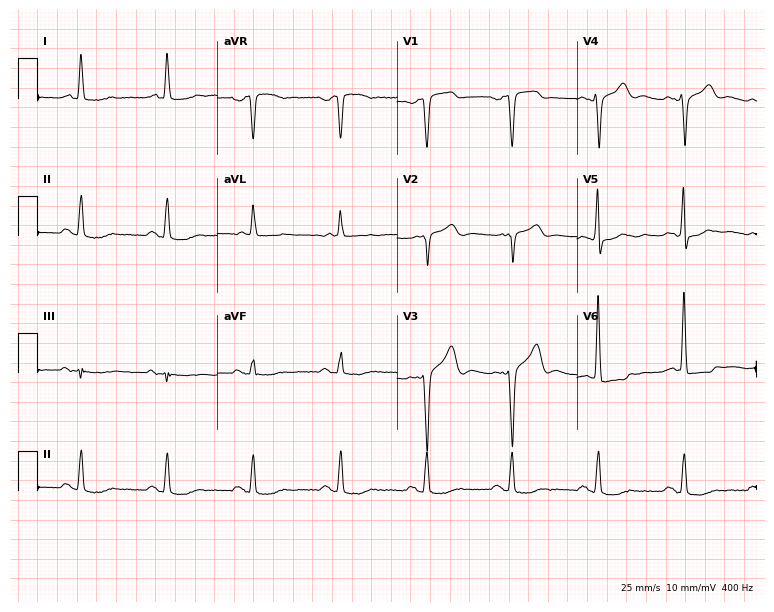
Standard 12-lead ECG recorded from a 72-year-old male (7.3-second recording at 400 Hz). None of these six findings is recorded: first-degree AV block, right bundle branch block, left bundle branch block, sinus bradycardia, atrial fibrillation, sinus tachycardia.